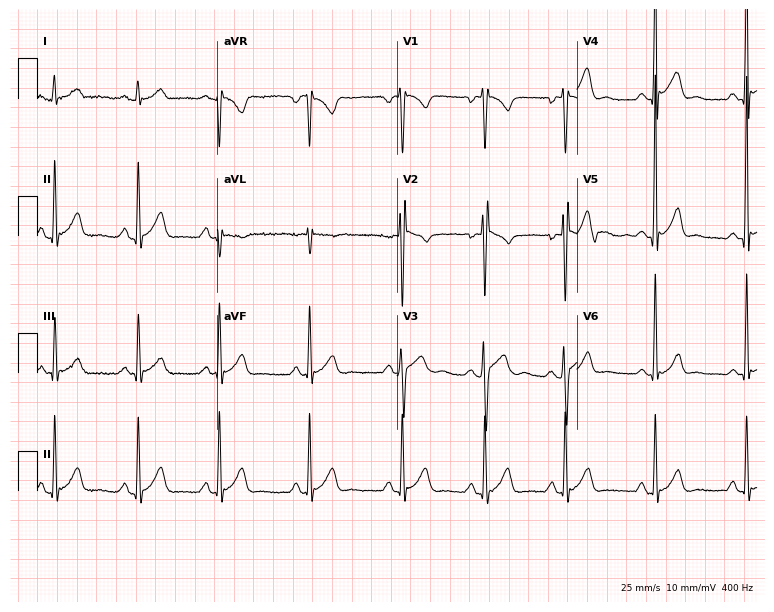
Electrocardiogram, a male patient, 21 years old. Of the six screened findings (first-degree AV block, right bundle branch block, left bundle branch block, sinus bradycardia, atrial fibrillation, sinus tachycardia), none is recorded.